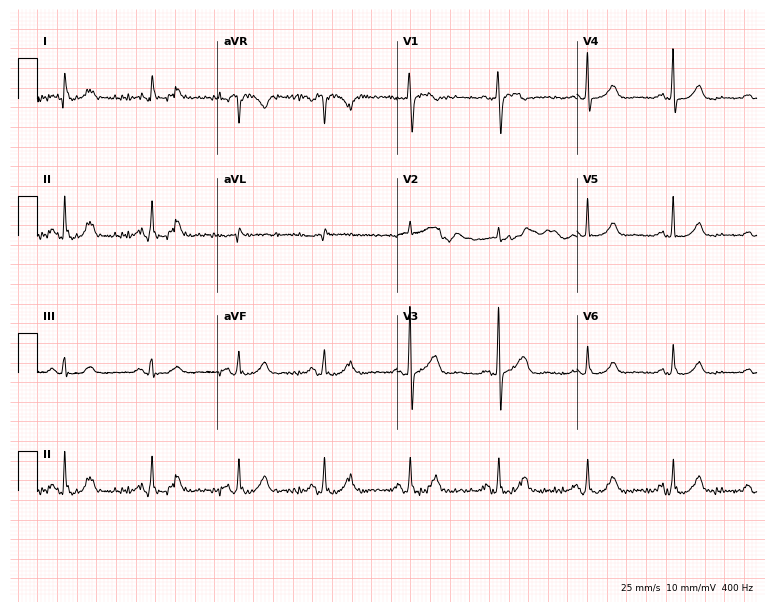
12-lead ECG from a female, 70 years old. Labelled as a normal ECG.